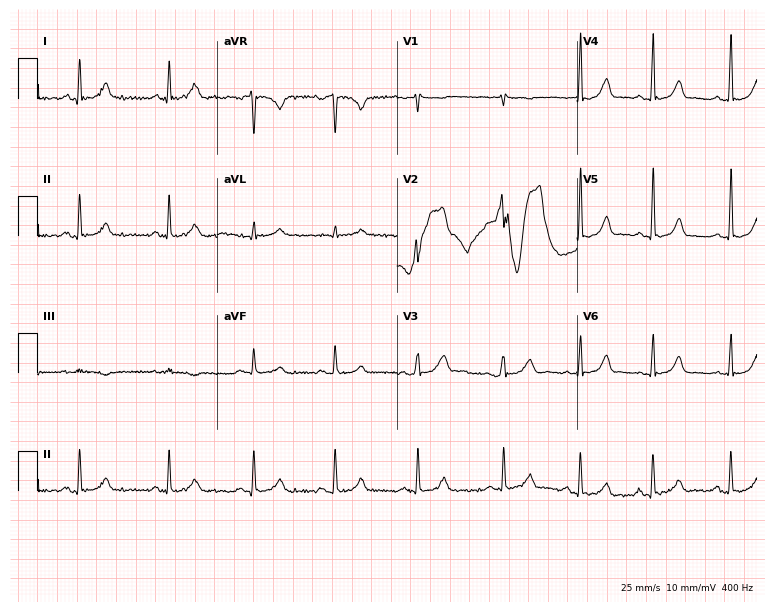
12-lead ECG (7.3-second recording at 400 Hz) from a 38-year-old woman. Labelled as a normal ECG.